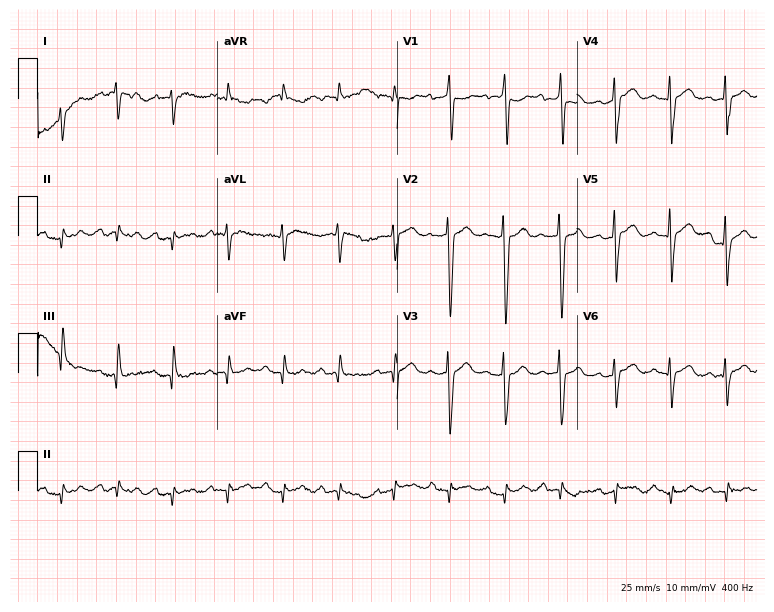
Standard 12-lead ECG recorded from an 82-year-old woman (7.3-second recording at 400 Hz). The tracing shows sinus tachycardia (a sinus rate of 100 beats per minute or more).